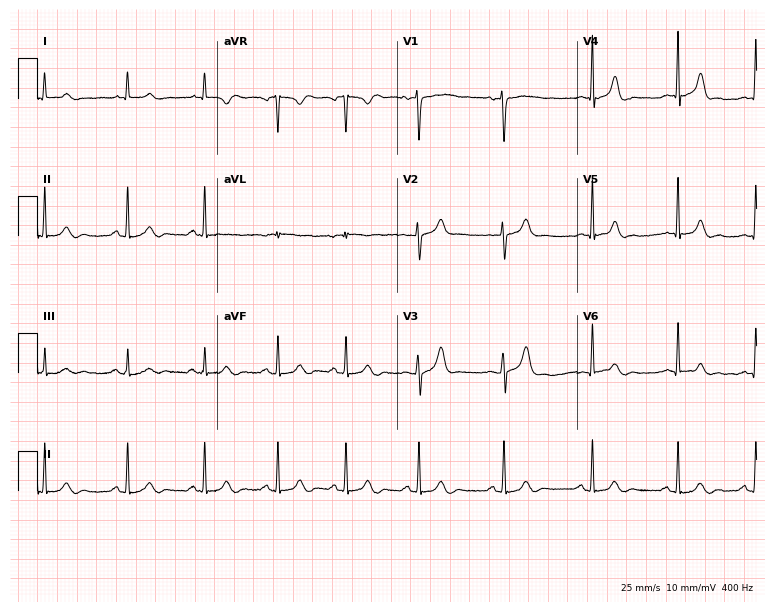
Standard 12-lead ECG recorded from a 24-year-old female. Read as a normal ECG.